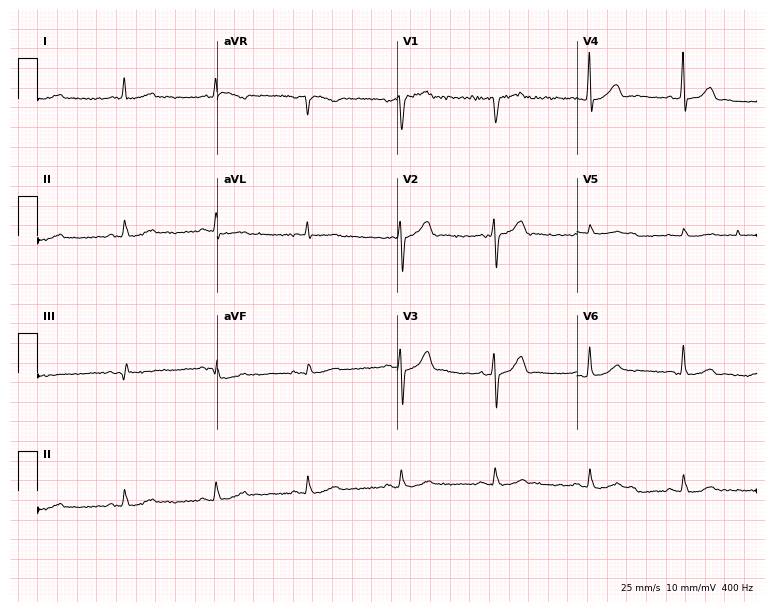
12-lead ECG from a 77-year-old male patient (7.3-second recording at 400 Hz). No first-degree AV block, right bundle branch block (RBBB), left bundle branch block (LBBB), sinus bradycardia, atrial fibrillation (AF) or sinus tachycardia recorded for this tracing. Findings outside these six are not listed.